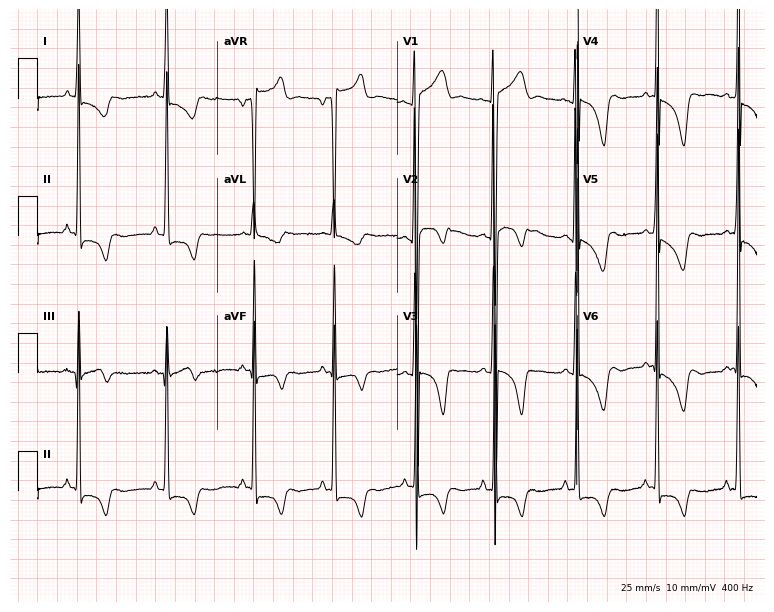
Standard 12-lead ECG recorded from a 21-year-old female patient. None of these six findings is recorded: first-degree AV block, right bundle branch block (RBBB), left bundle branch block (LBBB), sinus bradycardia, atrial fibrillation (AF), sinus tachycardia.